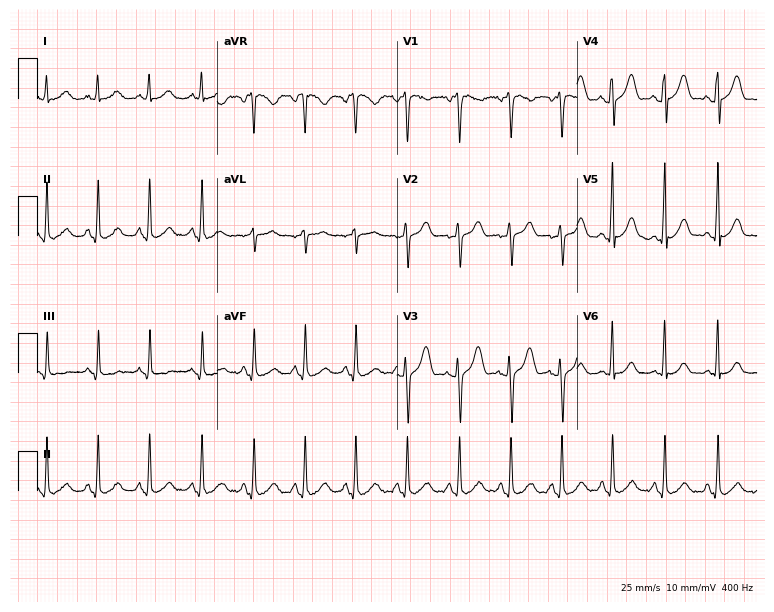
Standard 12-lead ECG recorded from a 41-year-old female patient. The tracing shows sinus tachycardia (a sinus rate of 100 beats per minute or more).